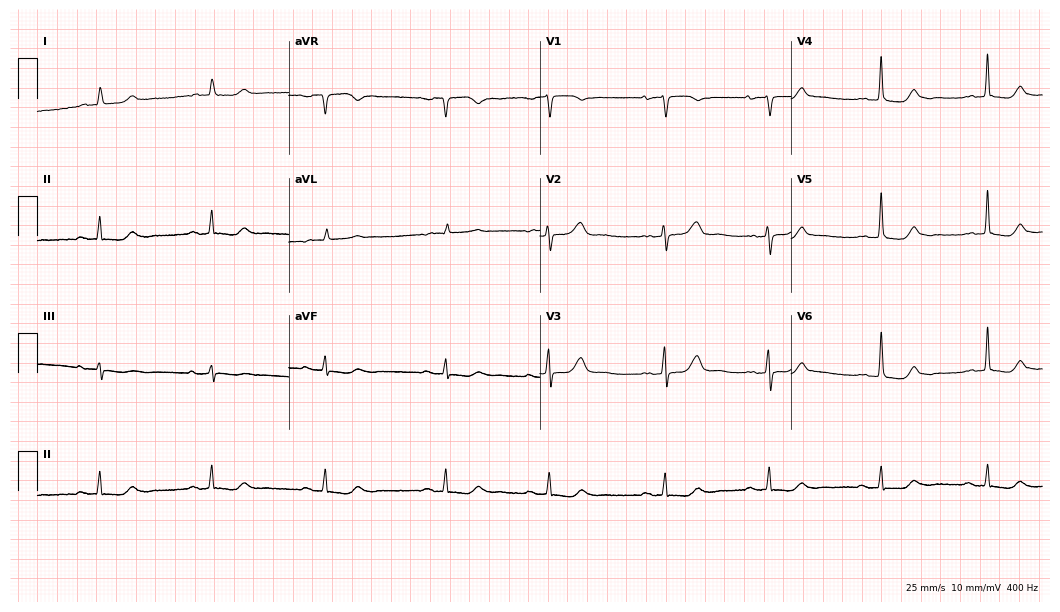
ECG (10.2-second recording at 400 Hz) — an 81-year-old female. Labelled as a normal ECG.